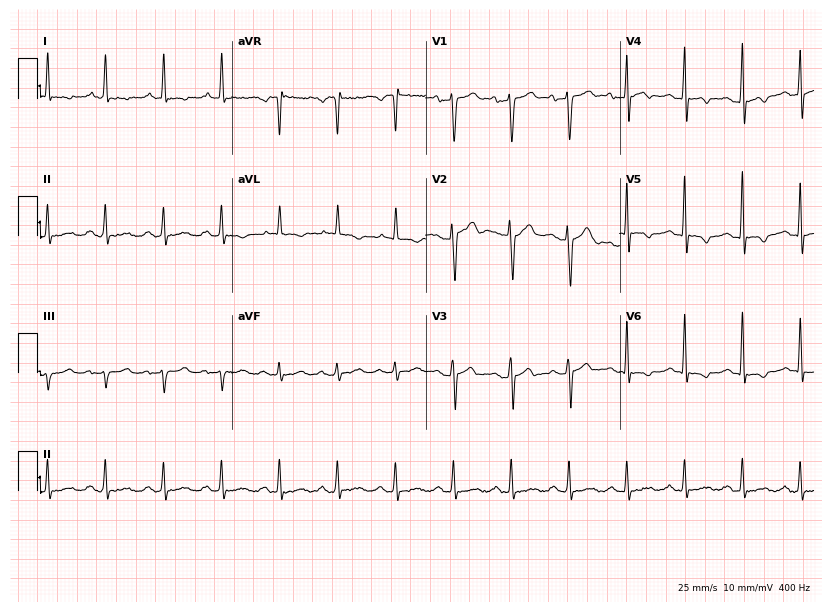
12-lead ECG from a 70-year-old male. No first-degree AV block, right bundle branch block, left bundle branch block, sinus bradycardia, atrial fibrillation or sinus tachycardia recorded for this tracing. Other findings, if any, are not listed.